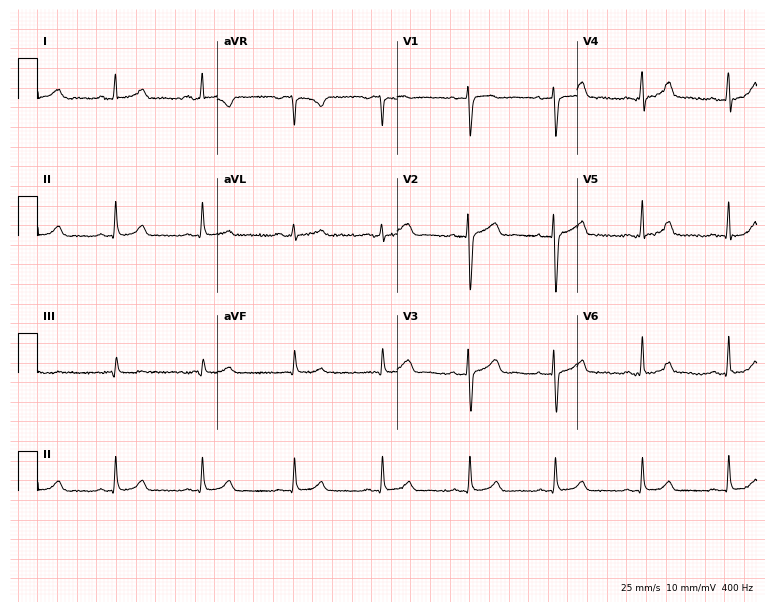
Electrocardiogram (7.3-second recording at 400 Hz), a female patient, 36 years old. Overall reading on record: normal ECG.